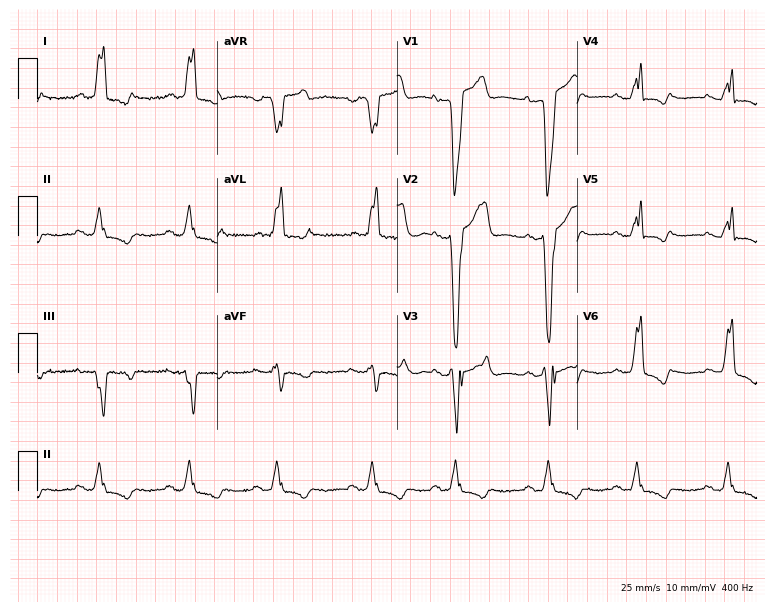
ECG — a 78-year-old man. Findings include left bundle branch block.